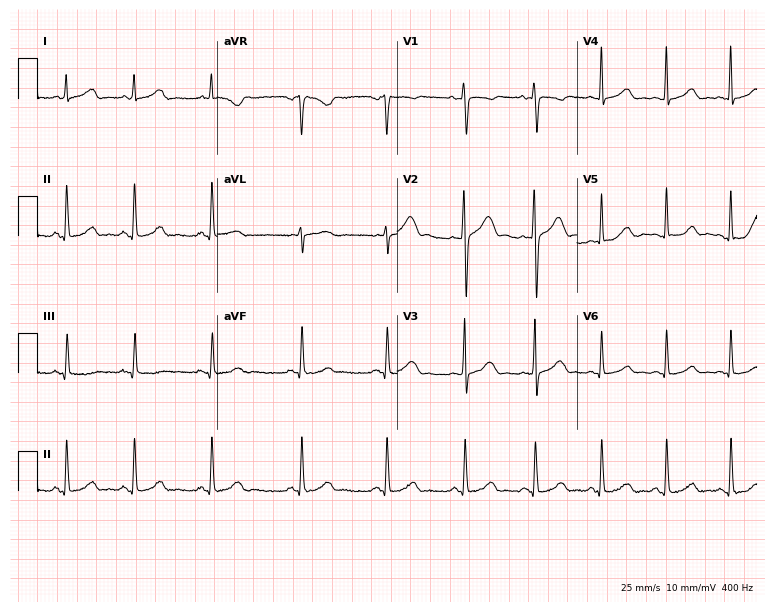
Resting 12-lead electrocardiogram (7.3-second recording at 400 Hz). Patient: a female, 21 years old. Read as a normal ECG.